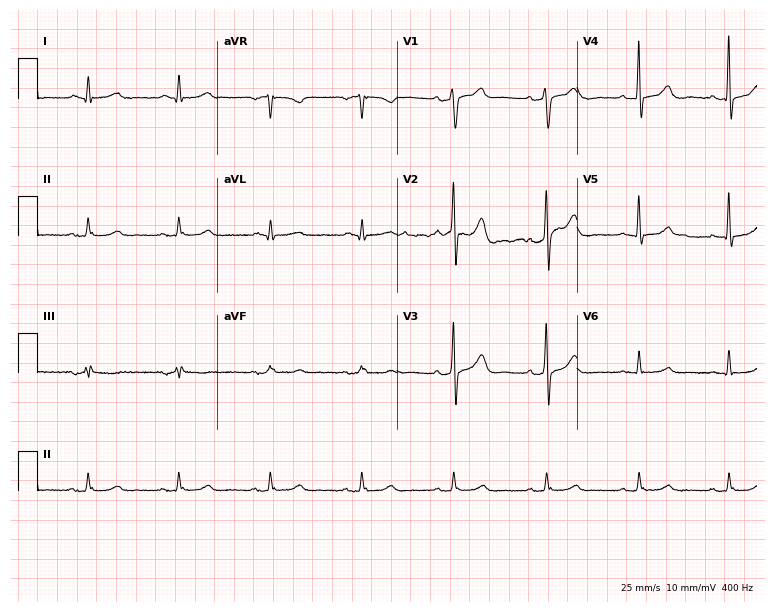
Resting 12-lead electrocardiogram. Patient: a man, 67 years old. Read as a normal ECG.